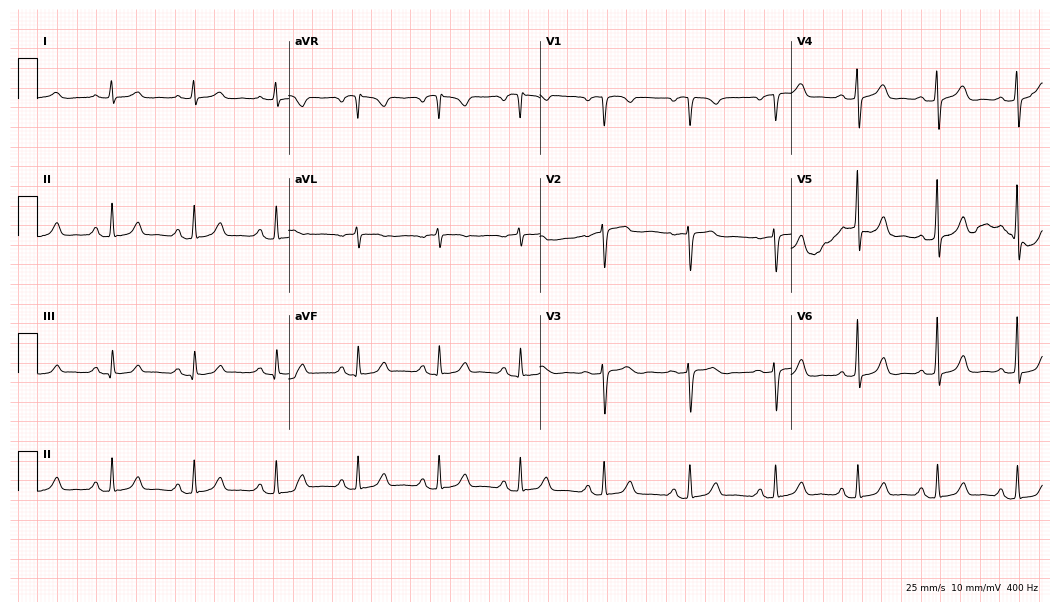
12-lead ECG from a 65-year-old woman. Recorded interpretation: within normal limits.